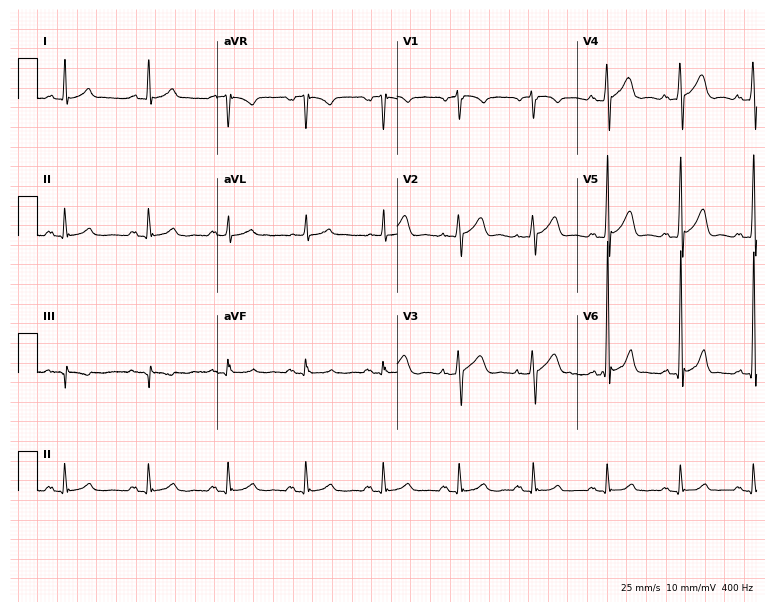
12-lead ECG from a 47-year-old male. Recorded interpretation: within normal limits.